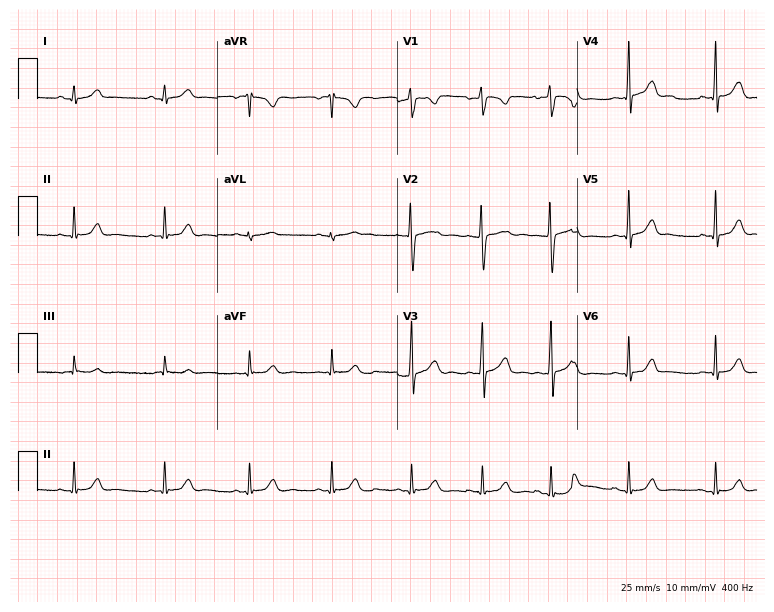
Resting 12-lead electrocardiogram (7.3-second recording at 400 Hz). Patient: a 21-year-old female. Read as a normal ECG.